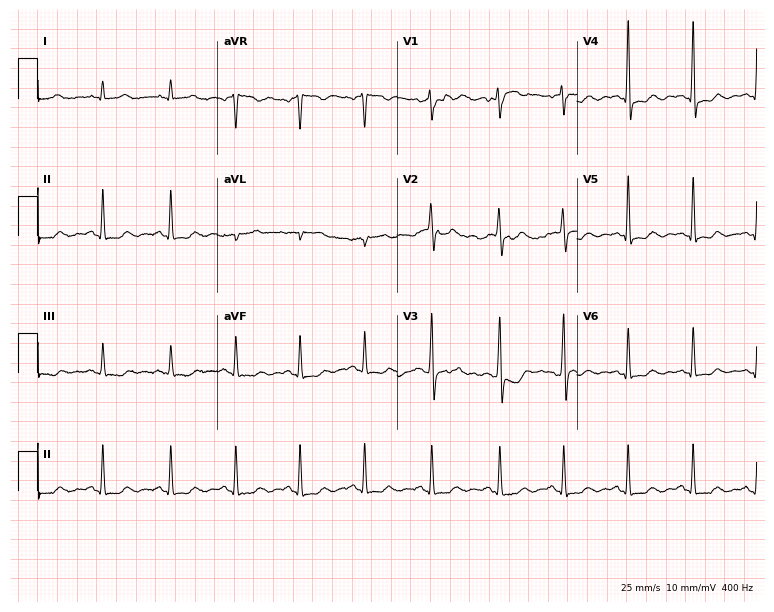
12-lead ECG from a 49-year-old woman (7.3-second recording at 400 Hz). No first-degree AV block, right bundle branch block, left bundle branch block, sinus bradycardia, atrial fibrillation or sinus tachycardia recorded for this tracing. Only these six findings were labelled.